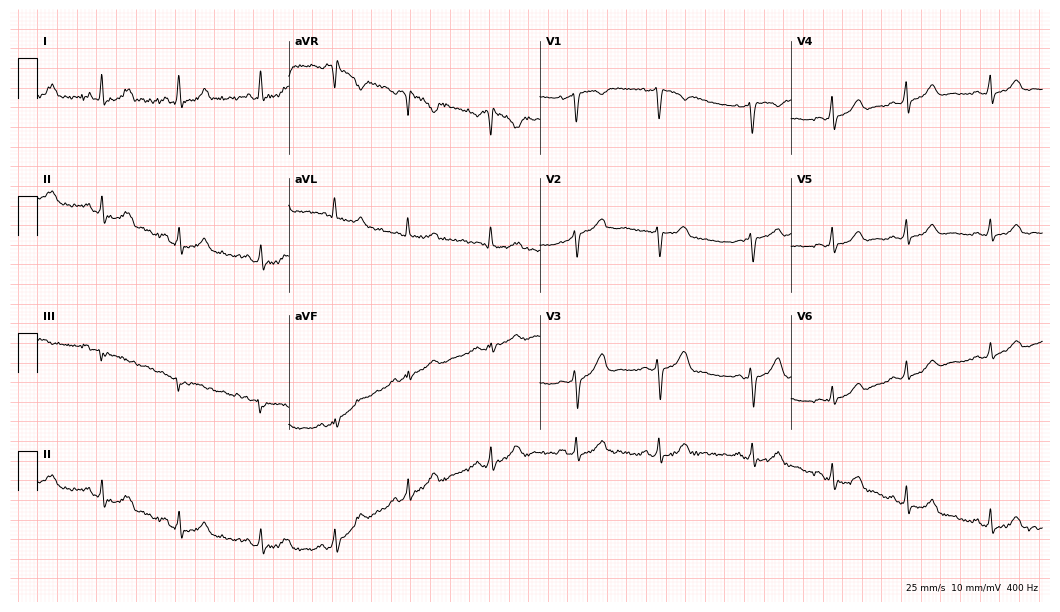
12-lead ECG from a 29-year-old female. Labelled as a normal ECG.